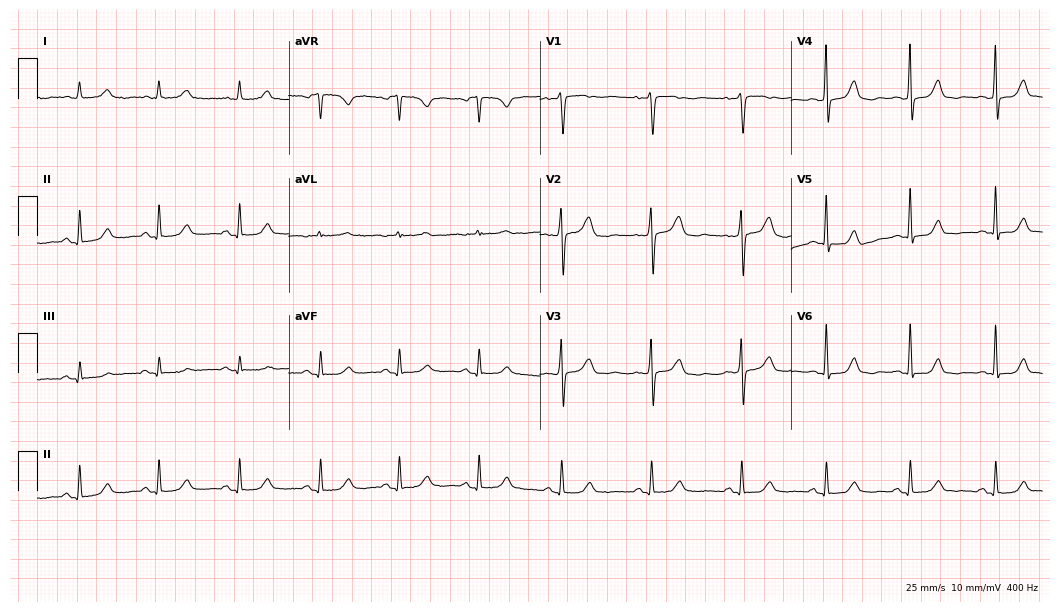
12-lead ECG from a 69-year-old female. Labelled as a normal ECG.